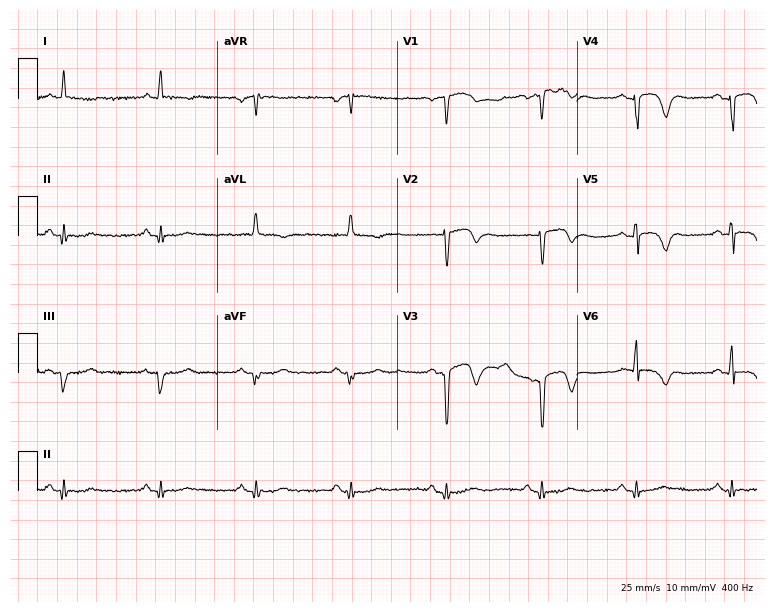
Electrocardiogram (7.3-second recording at 400 Hz), a male patient, 71 years old. Of the six screened findings (first-degree AV block, right bundle branch block (RBBB), left bundle branch block (LBBB), sinus bradycardia, atrial fibrillation (AF), sinus tachycardia), none is recorded. Findings outside these six are not listed.